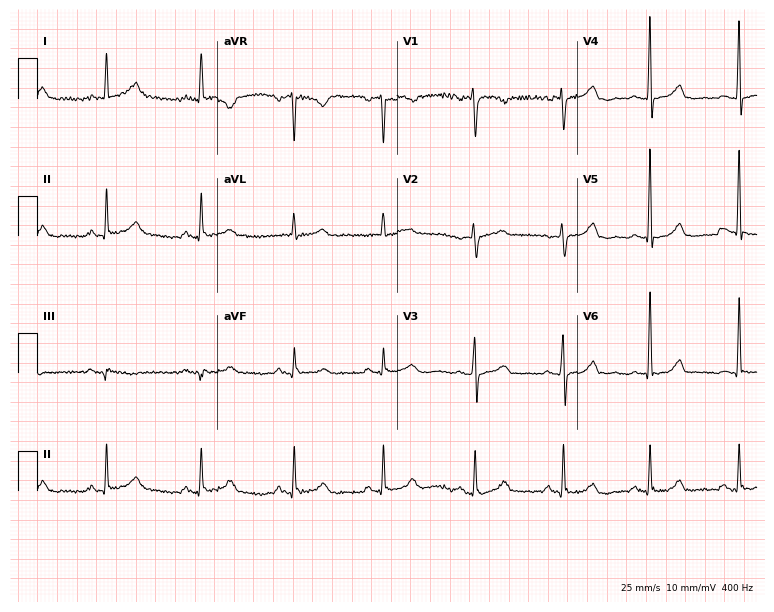
12-lead ECG (7.3-second recording at 400 Hz) from a 62-year-old female. Labelled as a normal ECG.